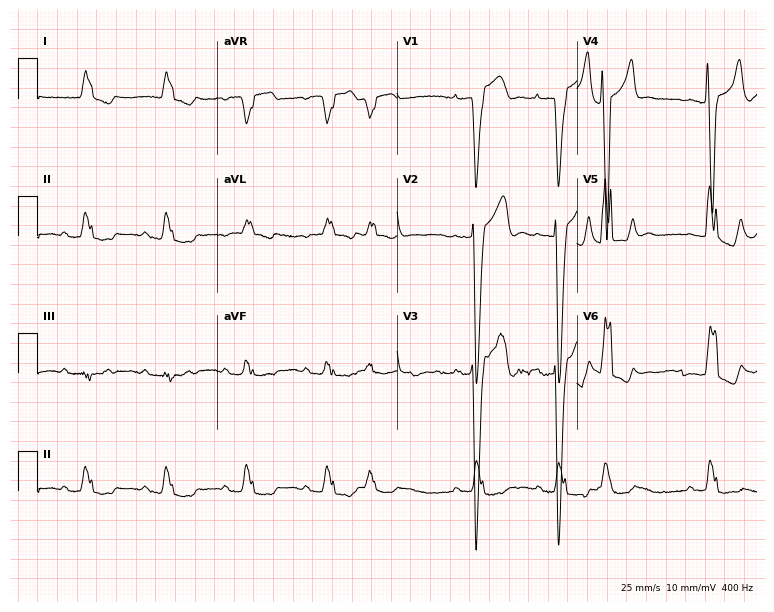
12-lead ECG from a man, 84 years old. Findings include left bundle branch block (LBBB), atrial fibrillation (AF).